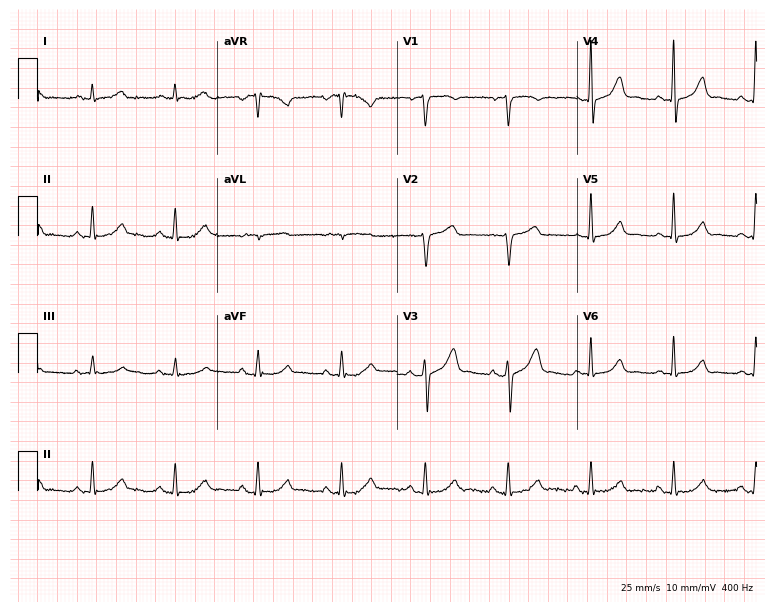
ECG — a male, 68 years old. Labelled as a normal ECG.